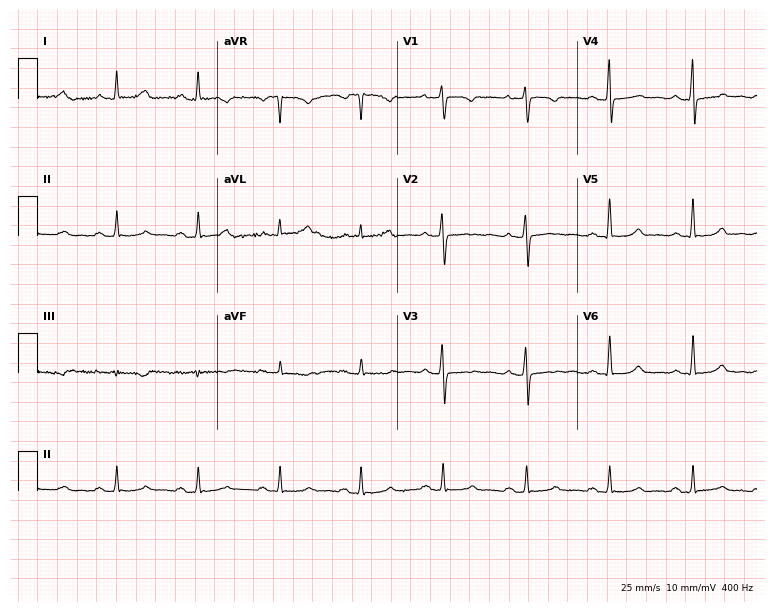
Resting 12-lead electrocardiogram (7.3-second recording at 400 Hz). Patient: a 54-year-old female. None of these six findings is recorded: first-degree AV block, right bundle branch block (RBBB), left bundle branch block (LBBB), sinus bradycardia, atrial fibrillation (AF), sinus tachycardia.